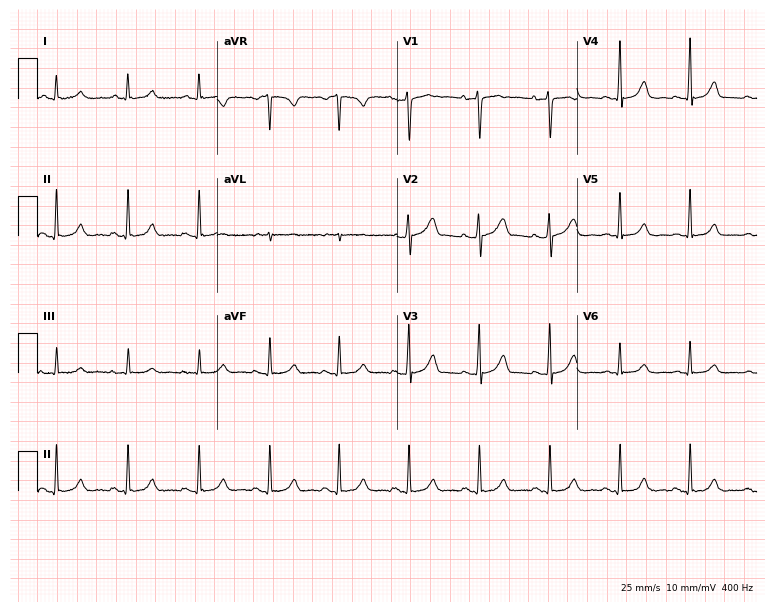
12-lead ECG from a 33-year-old woman. No first-degree AV block, right bundle branch block, left bundle branch block, sinus bradycardia, atrial fibrillation or sinus tachycardia recorded for this tracing. Only these six findings were labelled.